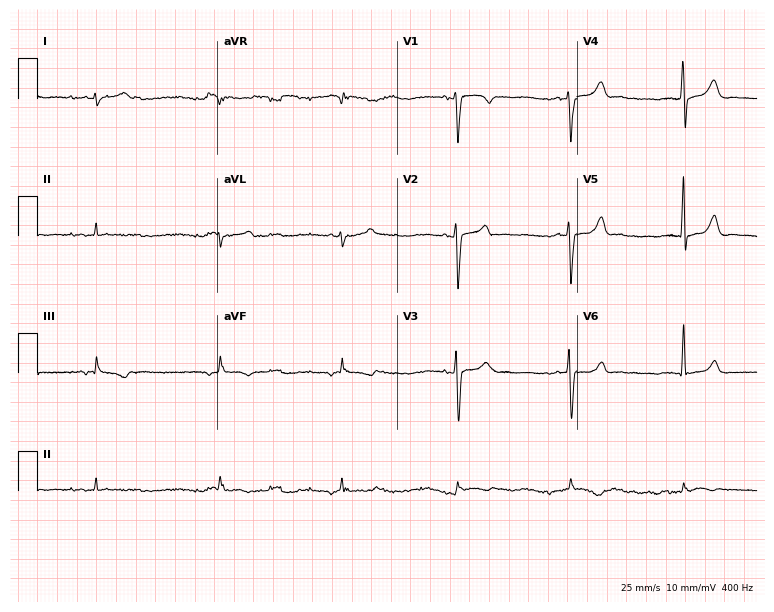
12-lead ECG from a woman, 41 years old (7.3-second recording at 400 Hz). No first-degree AV block, right bundle branch block, left bundle branch block, sinus bradycardia, atrial fibrillation or sinus tachycardia recorded for this tracing.